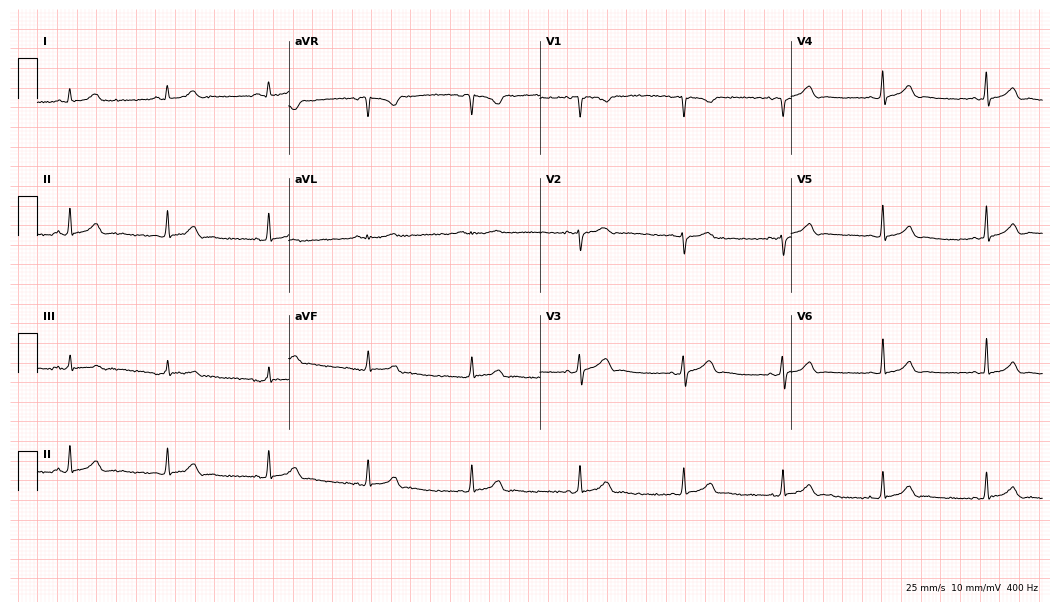
ECG — a 42-year-old female patient. Labelled as a normal ECG.